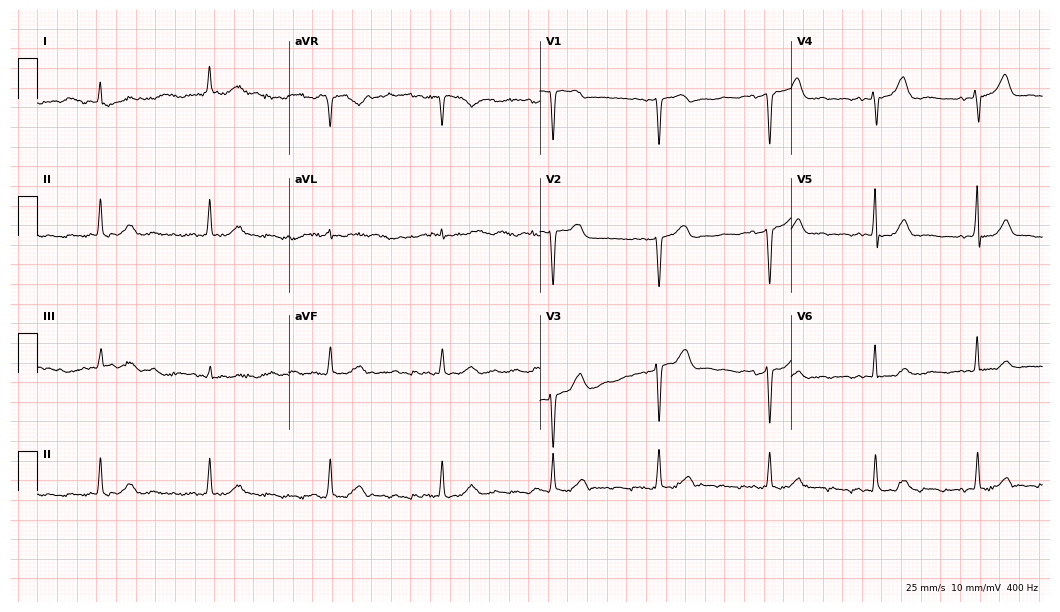
12-lead ECG from a 77-year-old female patient. Labelled as a normal ECG.